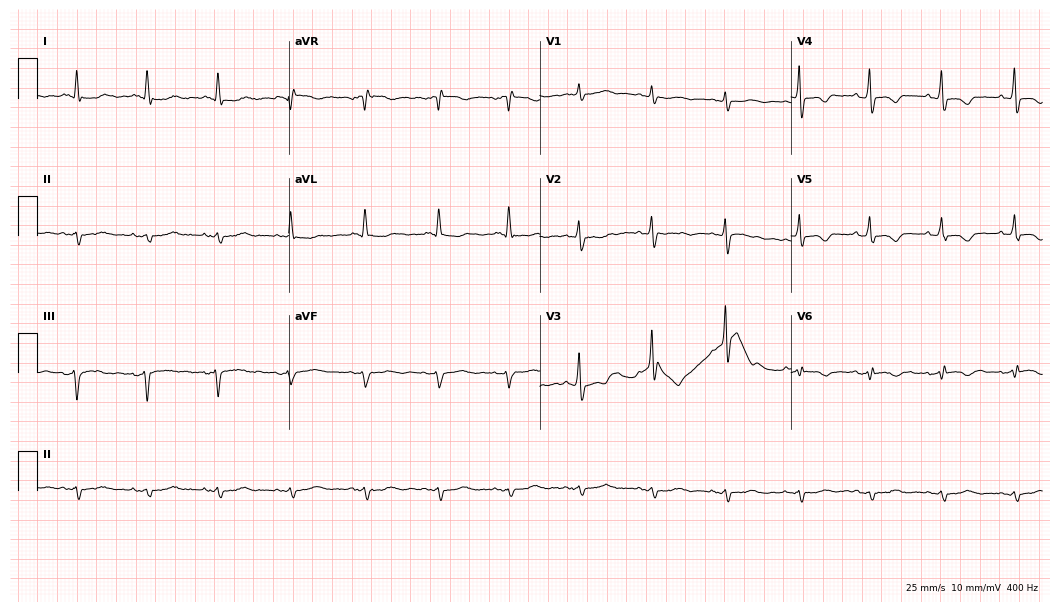
Electrocardiogram (10.2-second recording at 400 Hz), a woman, 85 years old. Of the six screened findings (first-degree AV block, right bundle branch block (RBBB), left bundle branch block (LBBB), sinus bradycardia, atrial fibrillation (AF), sinus tachycardia), none is recorded.